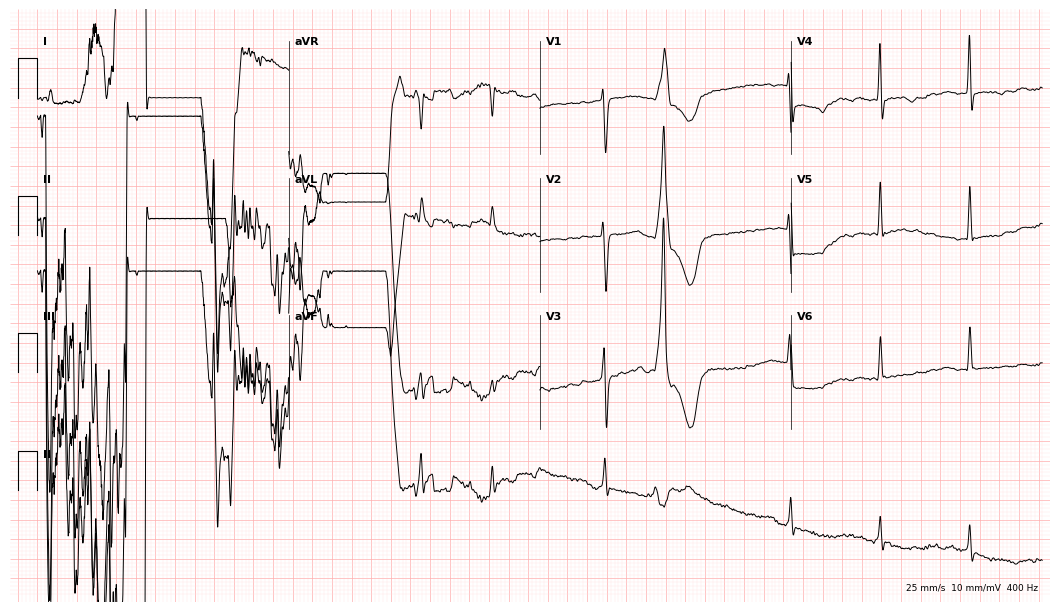
ECG — a female, 79 years old. Screened for six findings — first-degree AV block, right bundle branch block (RBBB), left bundle branch block (LBBB), sinus bradycardia, atrial fibrillation (AF), sinus tachycardia — none is recorded.